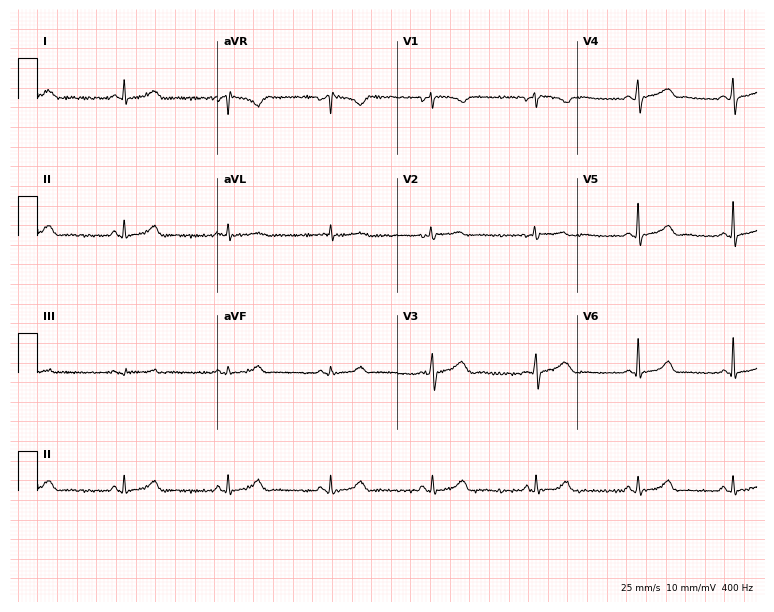
Electrocardiogram (7.3-second recording at 400 Hz), a 36-year-old female patient. Overall reading on record: normal ECG.